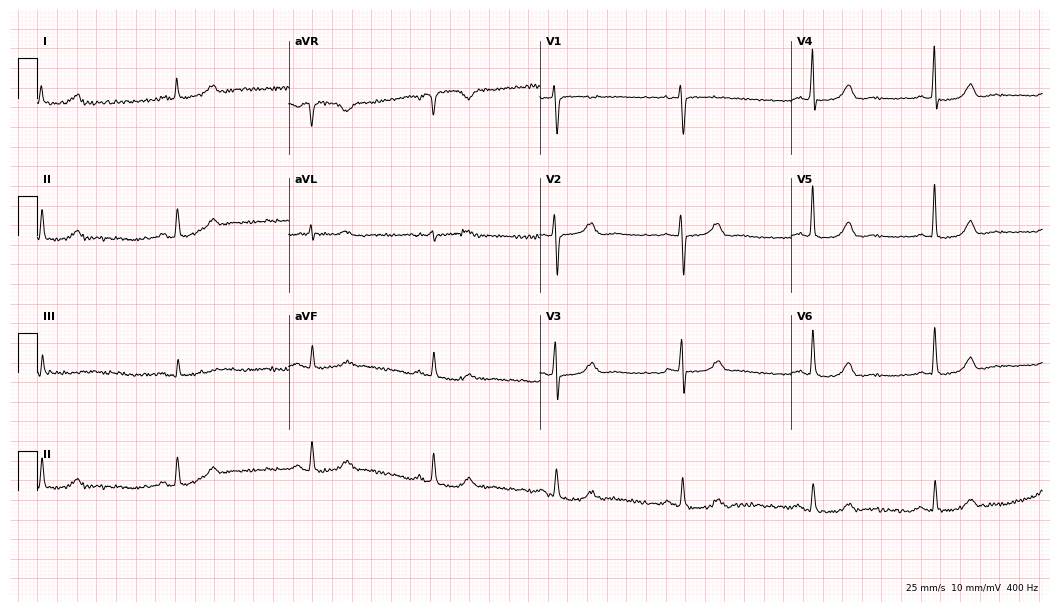
12-lead ECG from a female, 60 years old. Findings include sinus bradycardia (a sinus rate of 50 beats per minute or less).